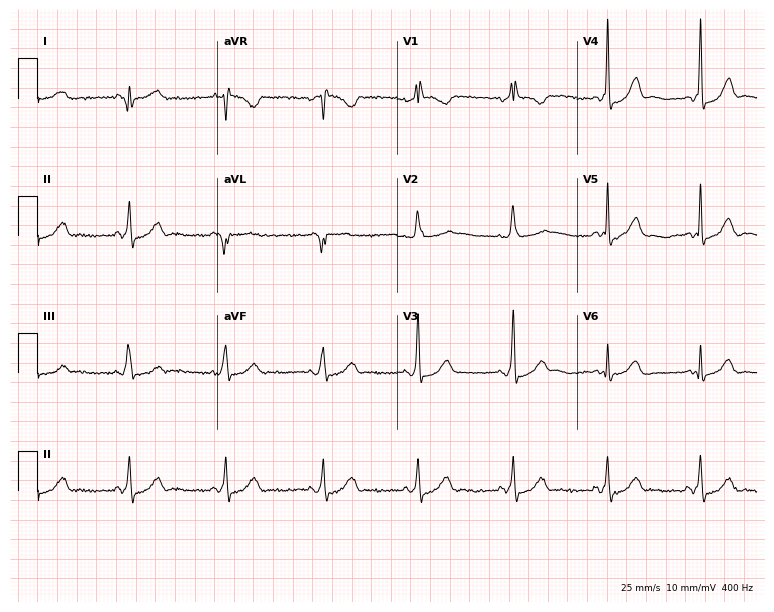
ECG (7.3-second recording at 400 Hz) — a woman, 60 years old. Screened for six findings — first-degree AV block, right bundle branch block (RBBB), left bundle branch block (LBBB), sinus bradycardia, atrial fibrillation (AF), sinus tachycardia — none is recorded. Findings outside these six are not listed.